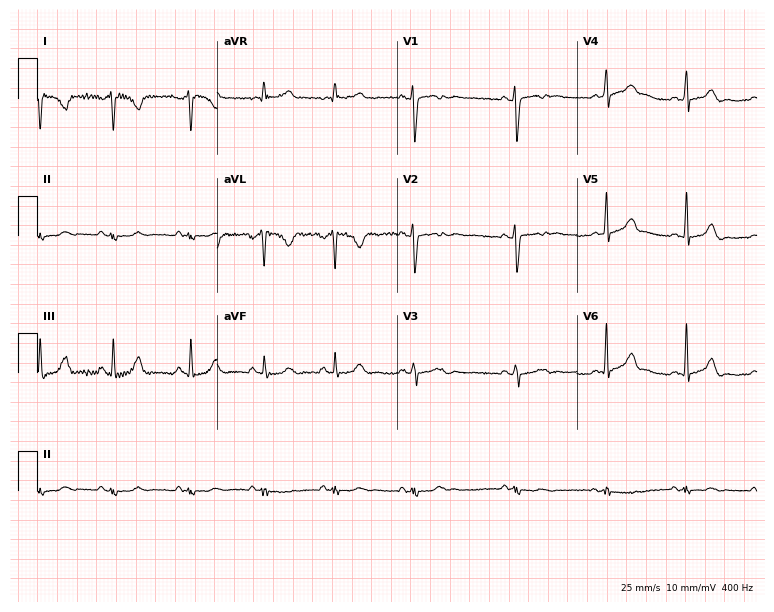
Resting 12-lead electrocardiogram. Patient: a 33-year-old female. None of these six findings is recorded: first-degree AV block, right bundle branch block, left bundle branch block, sinus bradycardia, atrial fibrillation, sinus tachycardia.